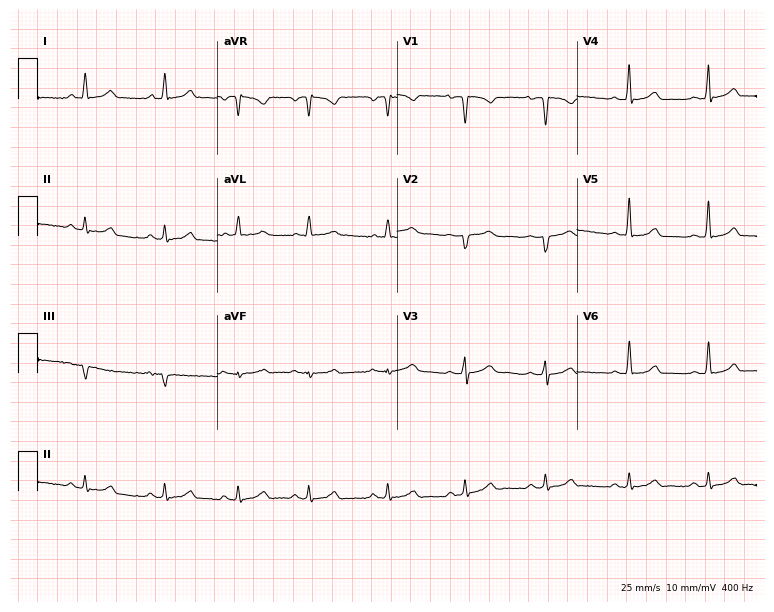
Standard 12-lead ECG recorded from a 34-year-old female patient (7.3-second recording at 400 Hz). None of these six findings is recorded: first-degree AV block, right bundle branch block, left bundle branch block, sinus bradycardia, atrial fibrillation, sinus tachycardia. Only these six findings were labelled.